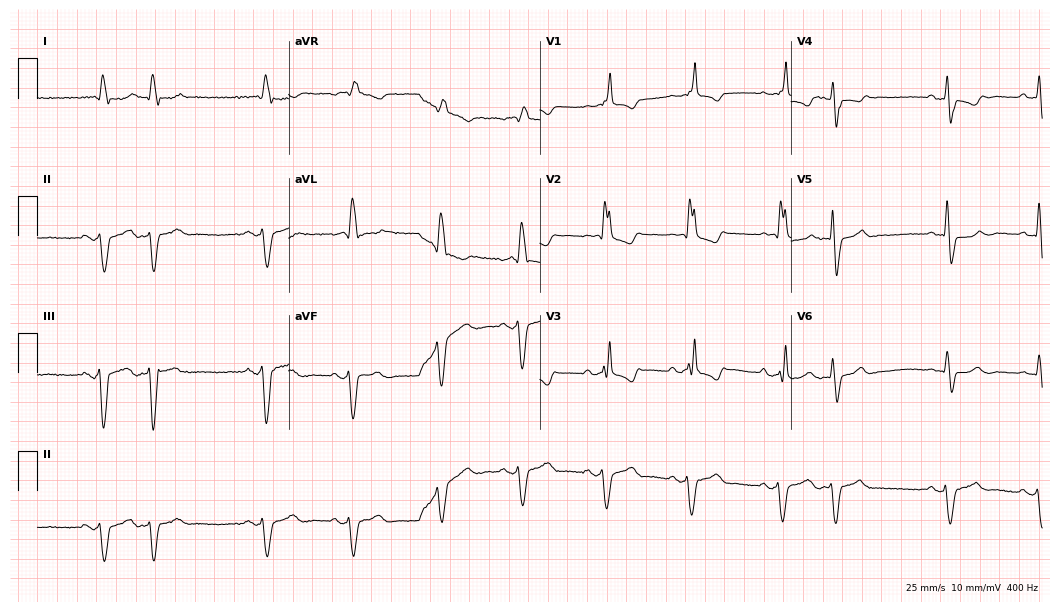
Electrocardiogram (10.2-second recording at 400 Hz), an 83-year-old male. Interpretation includes right bundle branch block.